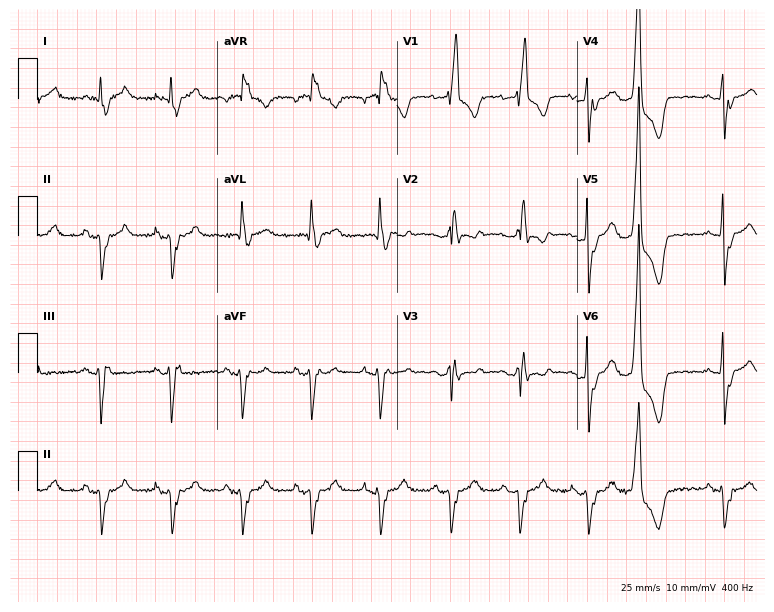
Resting 12-lead electrocardiogram. Patient: a 67-year-old male. The tracing shows right bundle branch block.